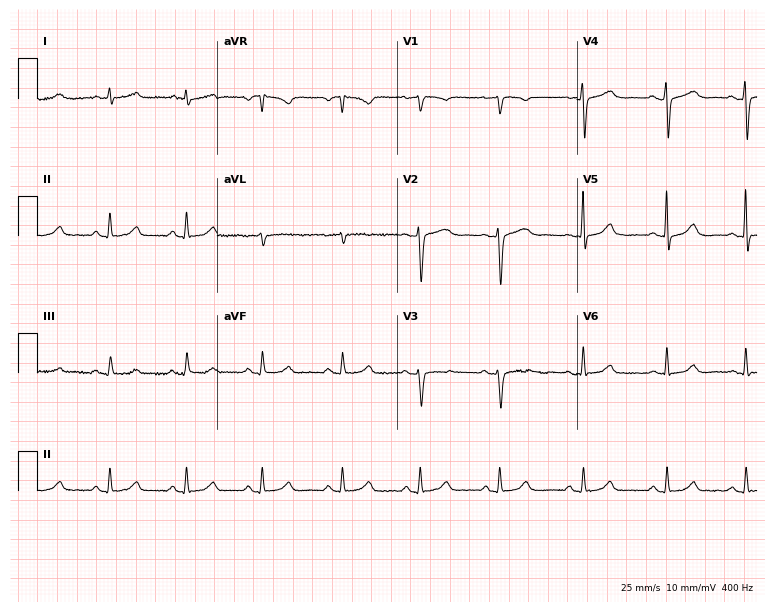
12-lead ECG from a 49-year-old woman. Labelled as a normal ECG.